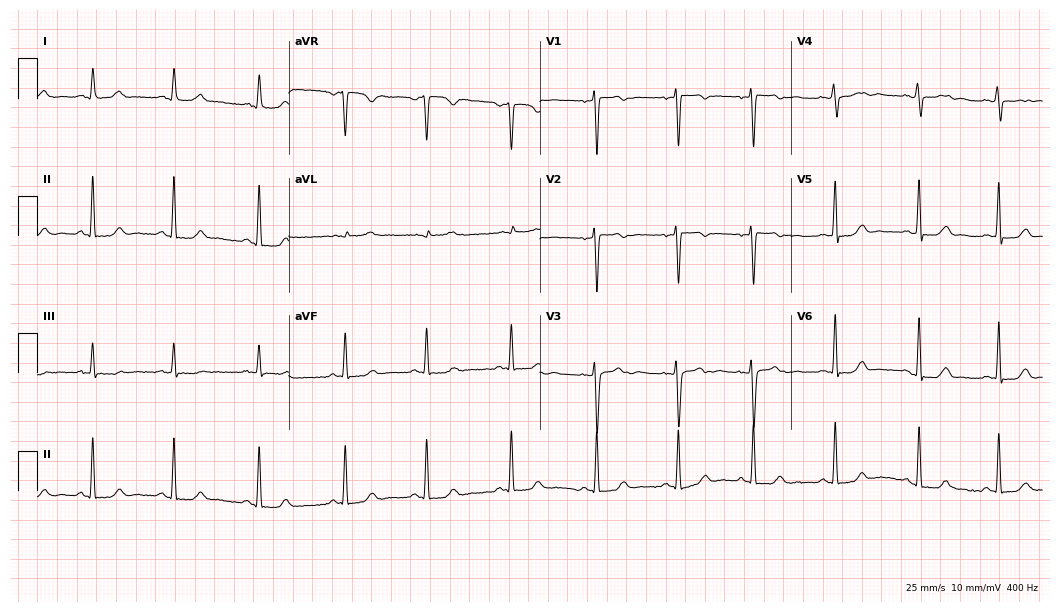
Standard 12-lead ECG recorded from an 18-year-old woman (10.2-second recording at 400 Hz). None of these six findings is recorded: first-degree AV block, right bundle branch block (RBBB), left bundle branch block (LBBB), sinus bradycardia, atrial fibrillation (AF), sinus tachycardia. Only these six findings were labelled.